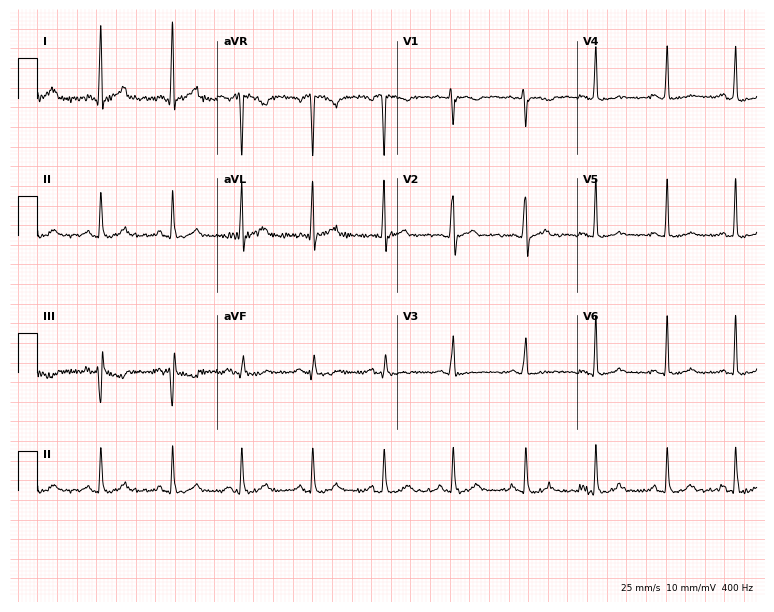
12-lead ECG from a 32-year-old female patient. No first-degree AV block, right bundle branch block (RBBB), left bundle branch block (LBBB), sinus bradycardia, atrial fibrillation (AF) or sinus tachycardia recorded for this tracing.